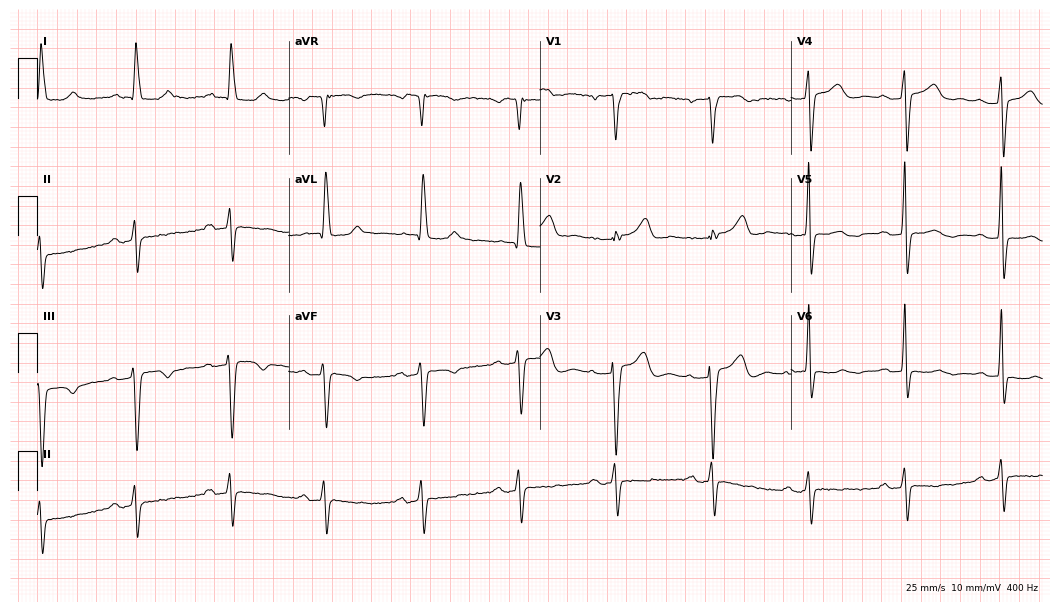
ECG — a female patient, 86 years old. Findings include first-degree AV block.